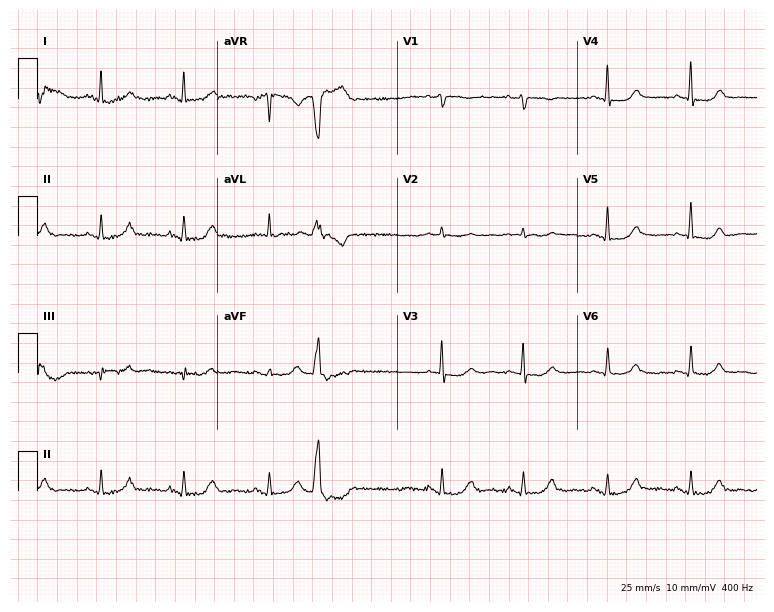
12-lead ECG (7.3-second recording at 400 Hz) from a 71-year-old female. Screened for six findings — first-degree AV block, right bundle branch block, left bundle branch block, sinus bradycardia, atrial fibrillation, sinus tachycardia — none is recorded. Other findings, if any, are not listed.